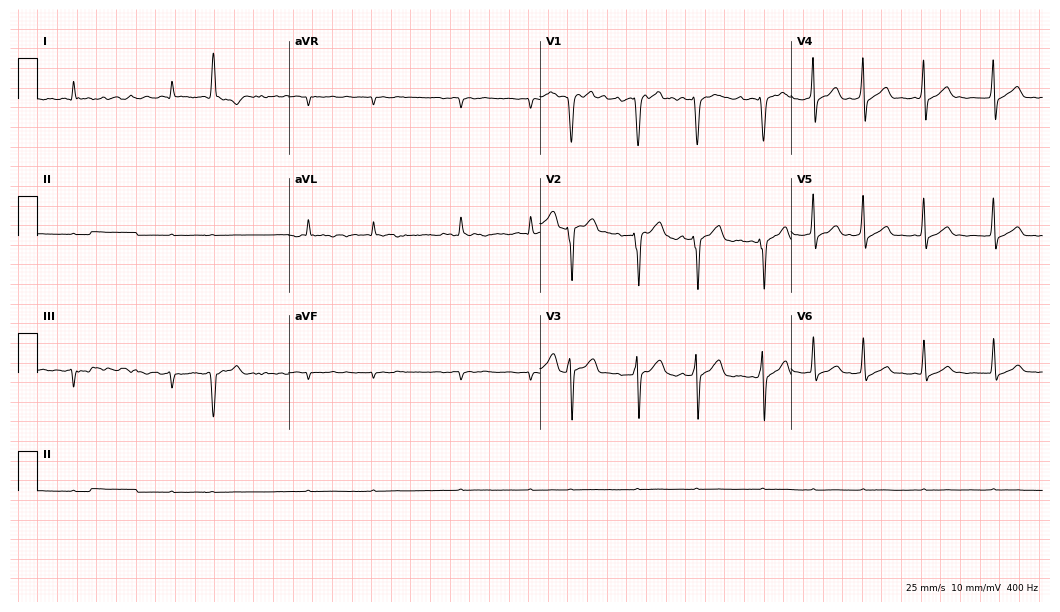
12-lead ECG (10.2-second recording at 400 Hz) from a male, 65 years old. Screened for six findings — first-degree AV block, right bundle branch block, left bundle branch block, sinus bradycardia, atrial fibrillation, sinus tachycardia — none is recorded.